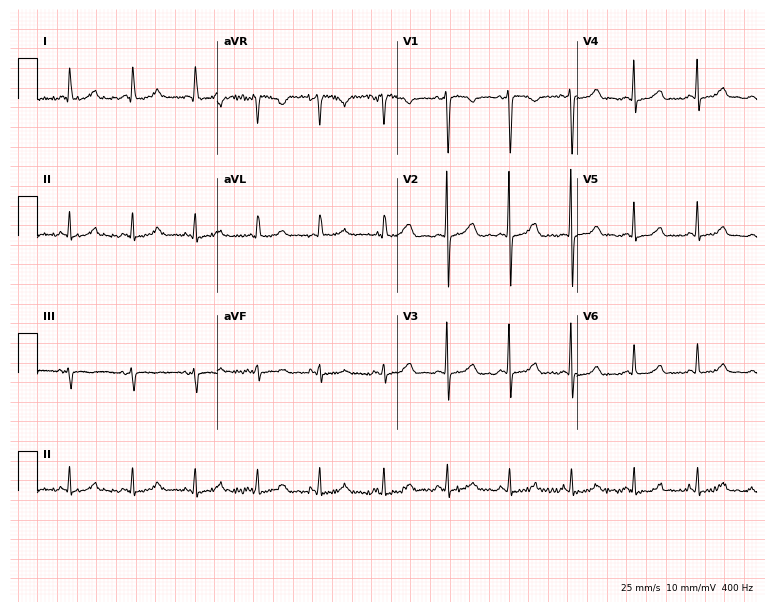
ECG — a 52-year-old female patient. Screened for six findings — first-degree AV block, right bundle branch block, left bundle branch block, sinus bradycardia, atrial fibrillation, sinus tachycardia — none is recorded.